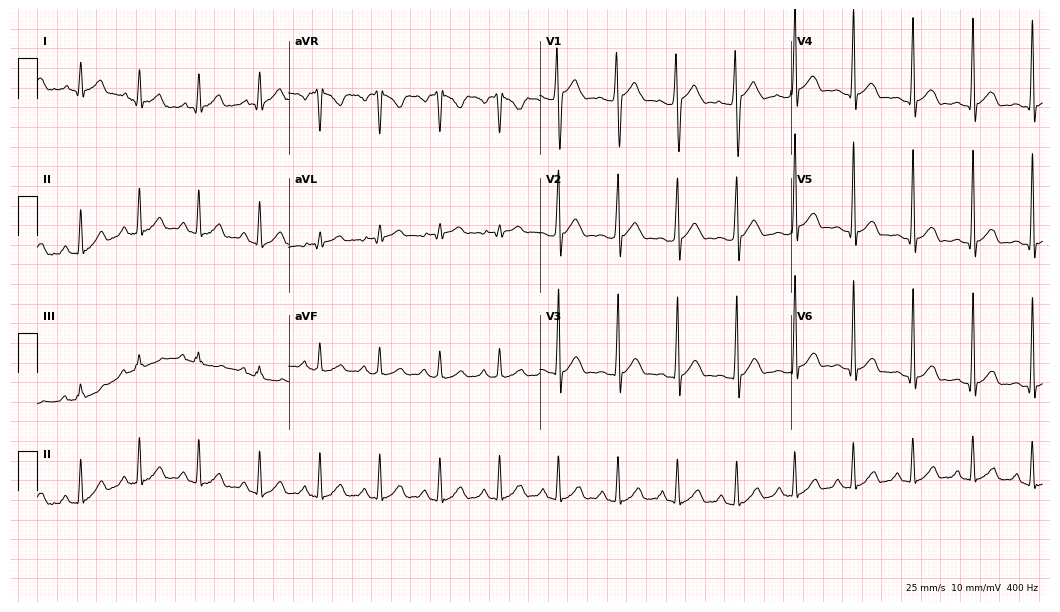
ECG — a 17-year-old male patient. Labelled as a normal ECG.